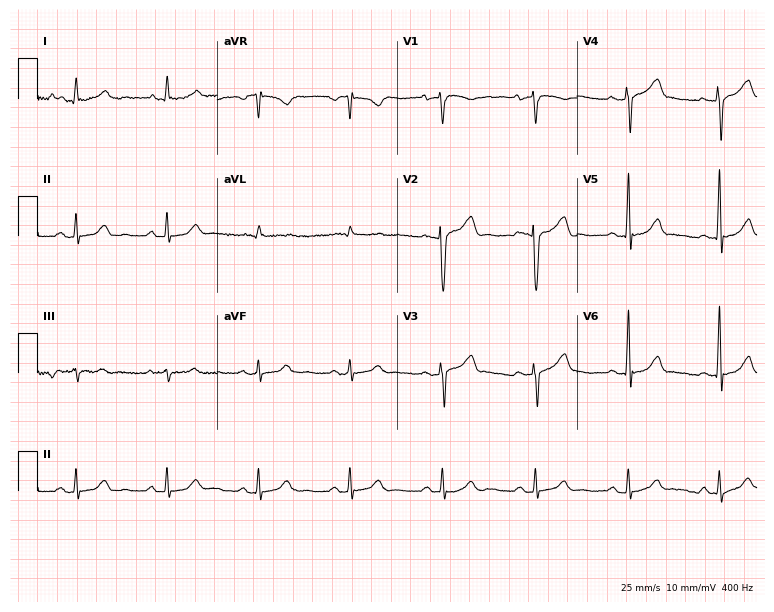
ECG (7.3-second recording at 400 Hz) — a male patient, 58 years old. Screened for six findings — first-degree AV block, right bundle branch block, left bundle branch block, sinus bradycardia, atrial fibrillation, sinus tachycardia — none is recorded. Findings outside these six are not listed.